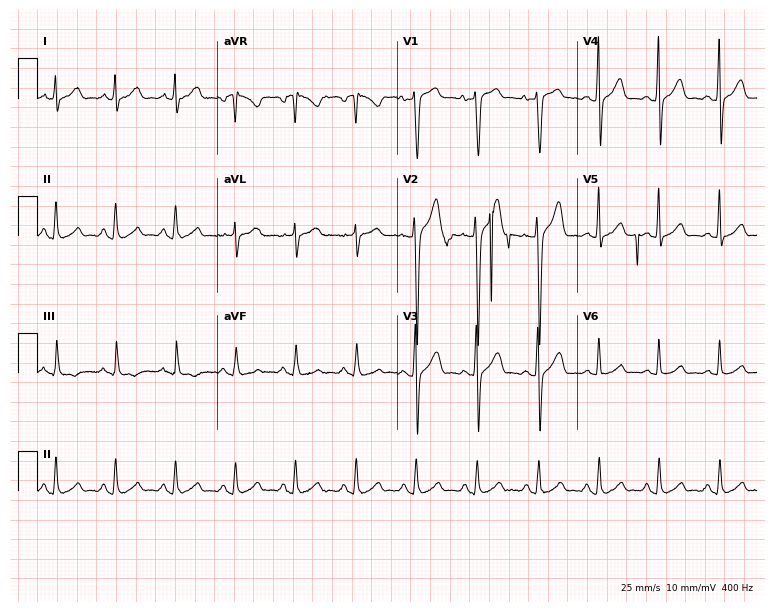
12-lead ECG (7.3-second recording at 400 Hz) from a 44-year-old male. Labelled as a normal ECG.